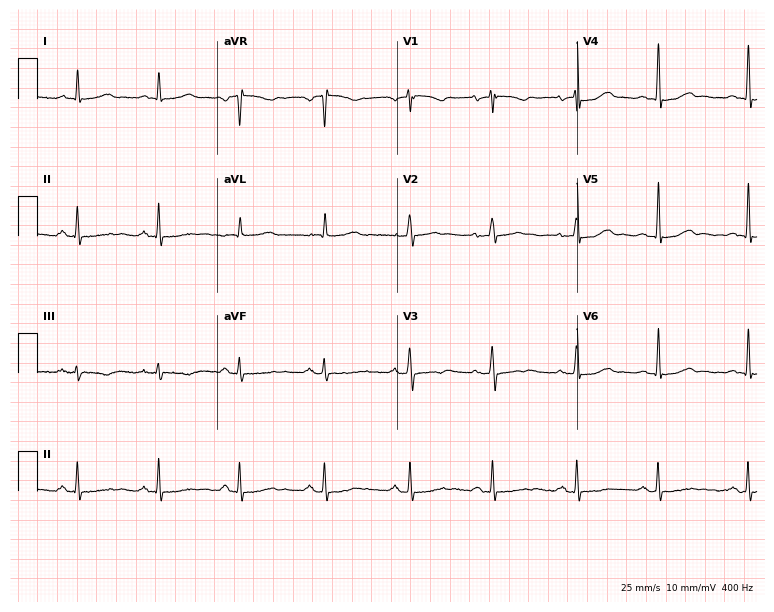
Electrocardiogram, a female, 66 years old. Of the six screened findings (first-degree AV block, right bundle branch block (RBBB), left bundle branch block (LBBB), sinus bradycardia, atrial fibrillation (AF), sinus tachycardia), none is recorded.